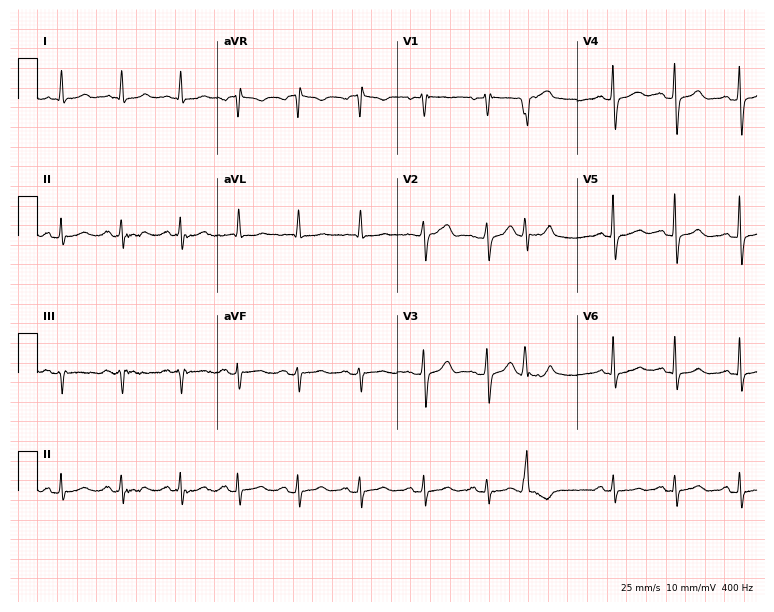
12-lead ECG from a female, 75 years old. Recorded interpretation: within normal limits.